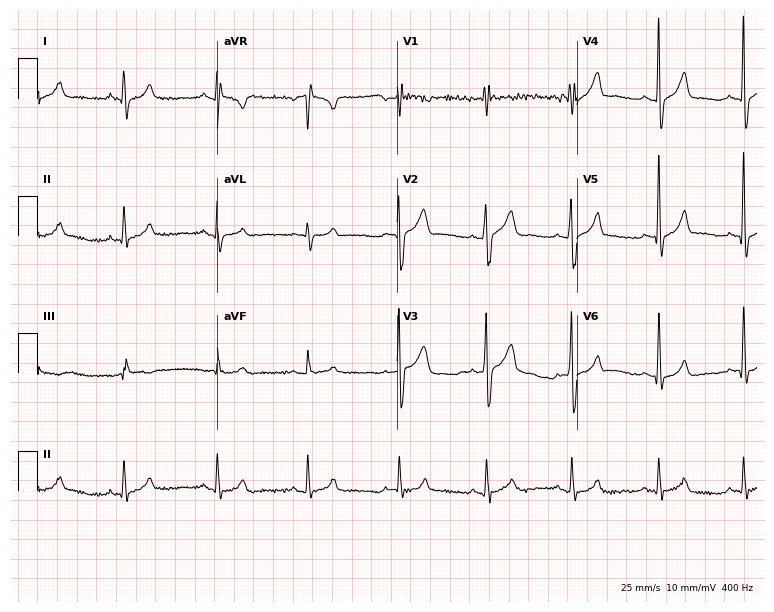
Resting 12-lead electrocardiogram. Patient: a 31-year-old man. None of these six findings is recorded: first-degree AV block, right bundle branch block, left bundle branch block, sinus bradycardia, atrial fibrillation, sinus tachycardia.